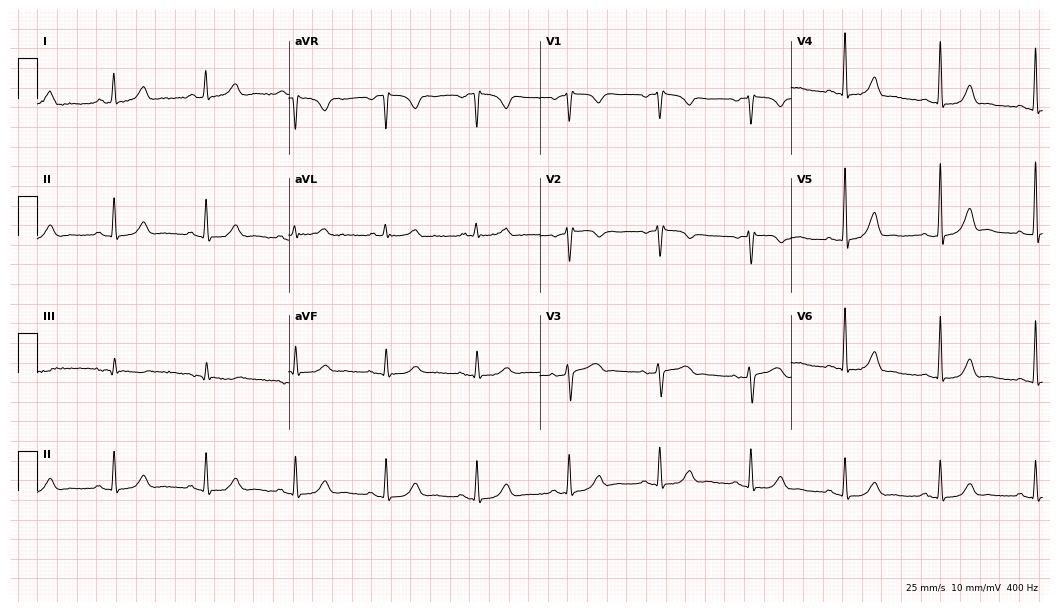
12-lead ECG from a 61-year-old male (10.2-second recording at 400 Hz). No first-degree AV block, right bundle branch block, left bundle branch block, sinus bradycardia, atrial fibrillation or sinus tachycardia recorded for this tracing.